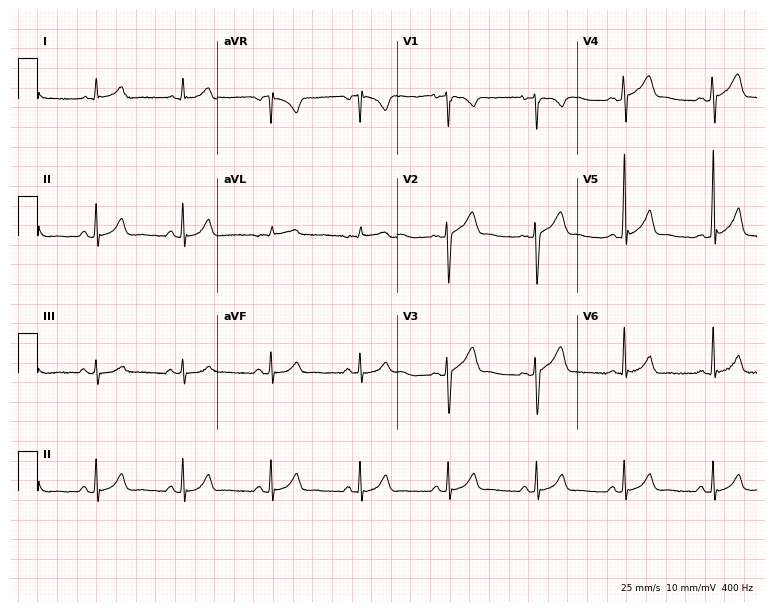
Resting 12-lead electrocardiogram. Patient: a male, 42 years old. None of these six findings is recorded: first-degree AV block, right bundle branch block (RBBB), left bundle branch block (LBBB), sinus bradycardia, atrial fibrillation (AF), sinus tachycardia.